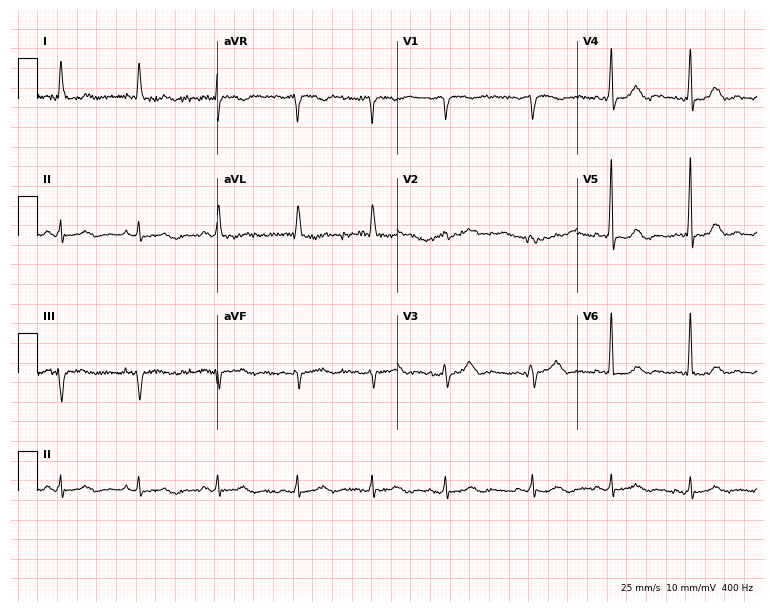
Resting 12-lead electrocardiogram (7.3-second recording at 400 Hz). Patient: a woman, 83 years old. Read as a normal ECG.